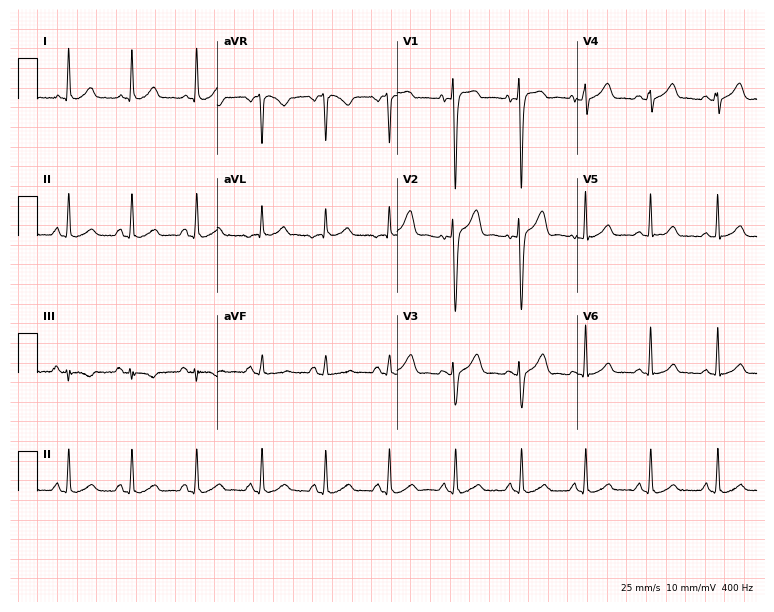
Standard 12-lead ECG recorded from a female, 37 years old. None of these six findings is recorded: first-degree AV block, right bundle branch block (RBBB), left bundle branch block (LBBB), sinus bradycardia, atrial fibrillation (AF), sinus tachycardia.